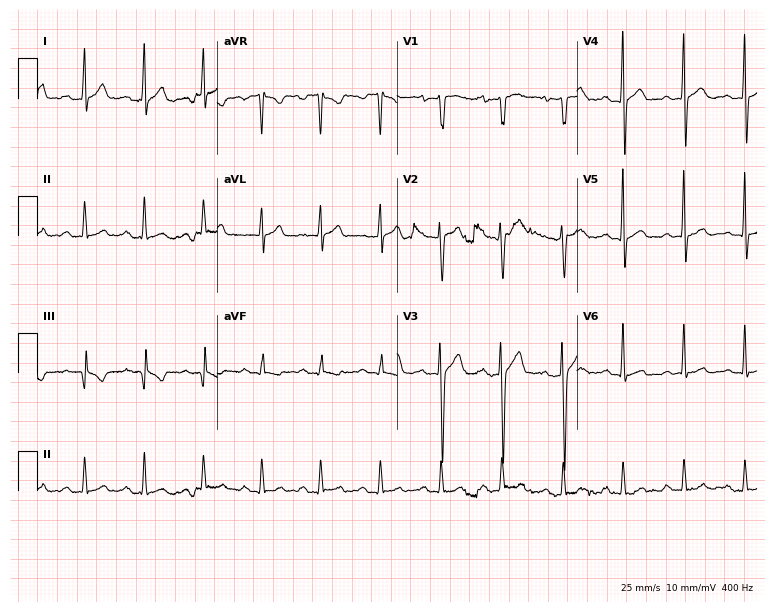
12-lead ECG from a 23-year-old man. Screened for six findings — first-degree AV block, right bundle branch block, left bundle branch block, sinus bradycardia, atrial fibrillation, sinus tachycardia — none is recorded.